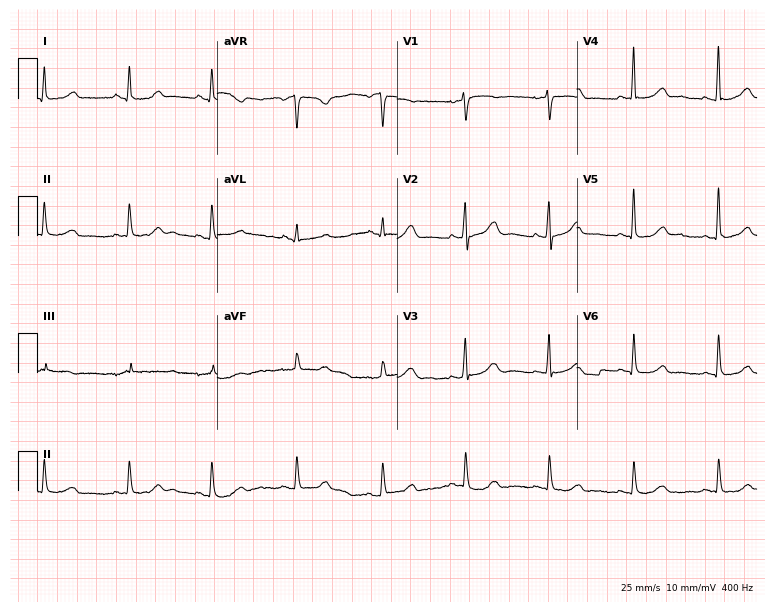
ECG — a 58-year-old woman. Labelled as a normal ECG.